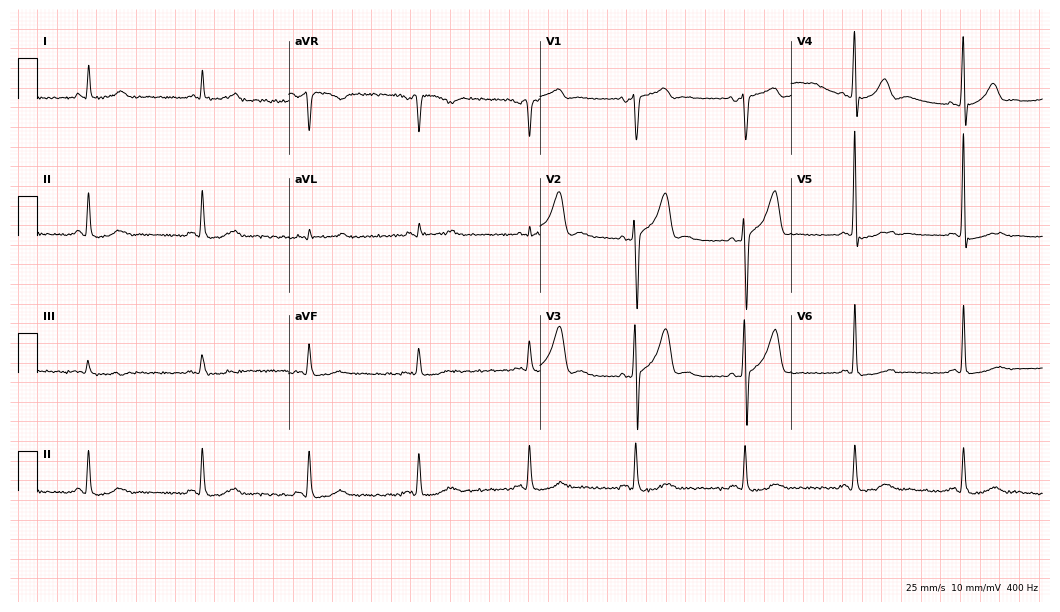
12-lead ECG from a 67-year-old man. No first-degree AV block, right bundle branch block, left bundle branch block, sinus bradycardia, atrial fibrillation or sinus tachycardia recorded for this tracing. Only these six findings were labelled.